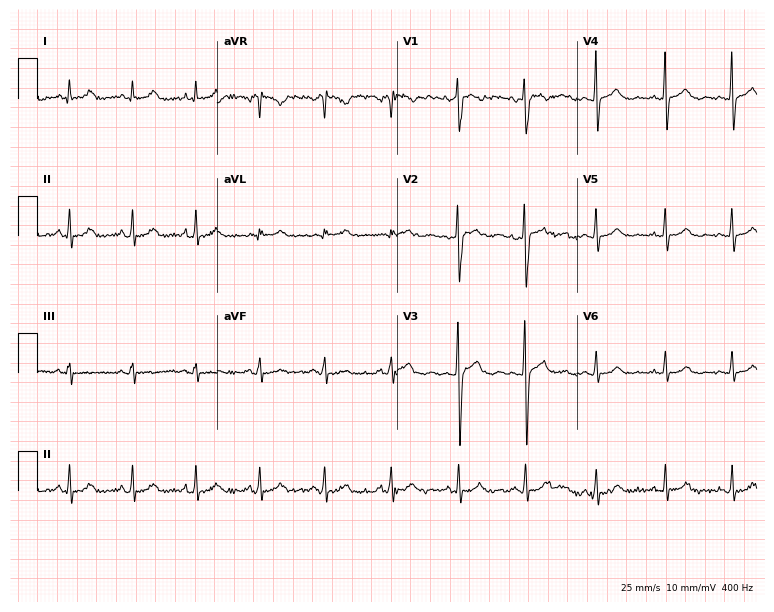
12-lead ECG from a 25-year-old female patient (7.3-second recording at 400 Hz). Recorded interpretation: within normal limits.